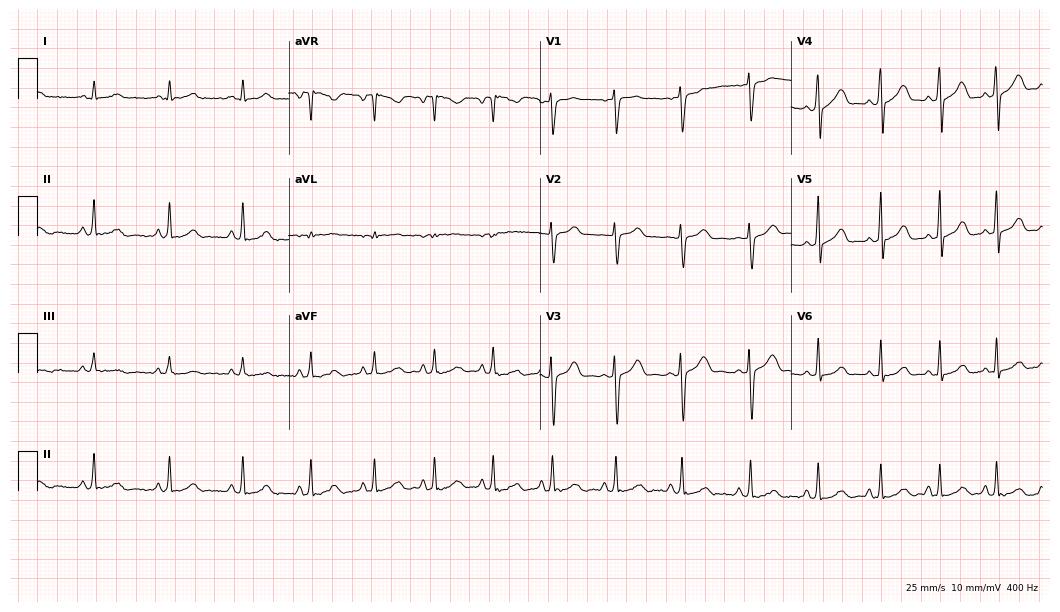
ECG (10.2-second recording at 400 Hz) — a female, 21 years old. Labelled as a normal ECG.